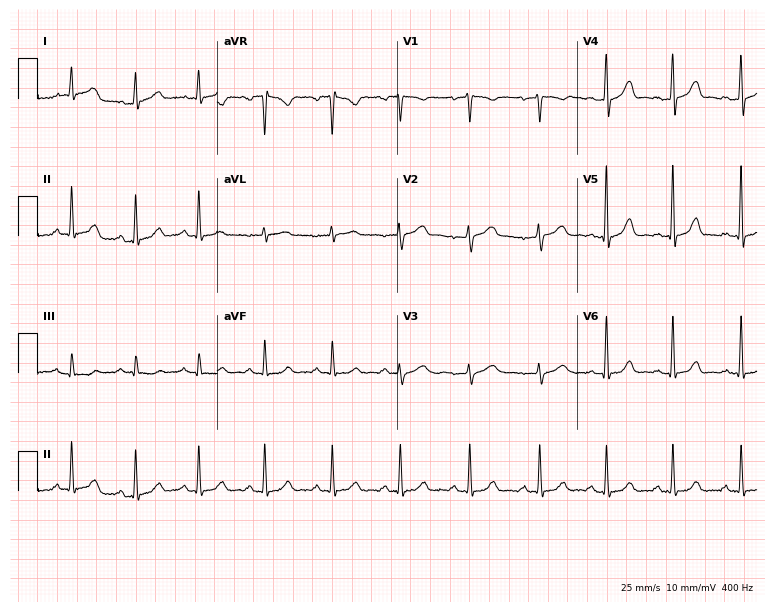
Resting 12-lead electrocardiogram. Patient: a woman, 40 years old. Read as a normal ECG.